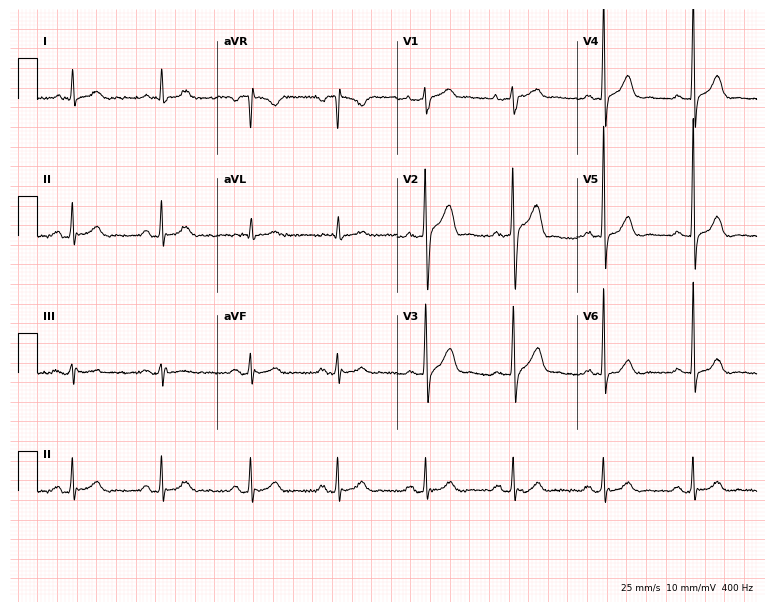
Electrocardiogram, a 63-year-old man. Of the six screened findings (first-degree AV block, right bundle branch block (RBBB), left bundle branch block (LBBB), sinus bradycardia, atrial fibrillation (AF), sinus tachycardia), none is recorded.